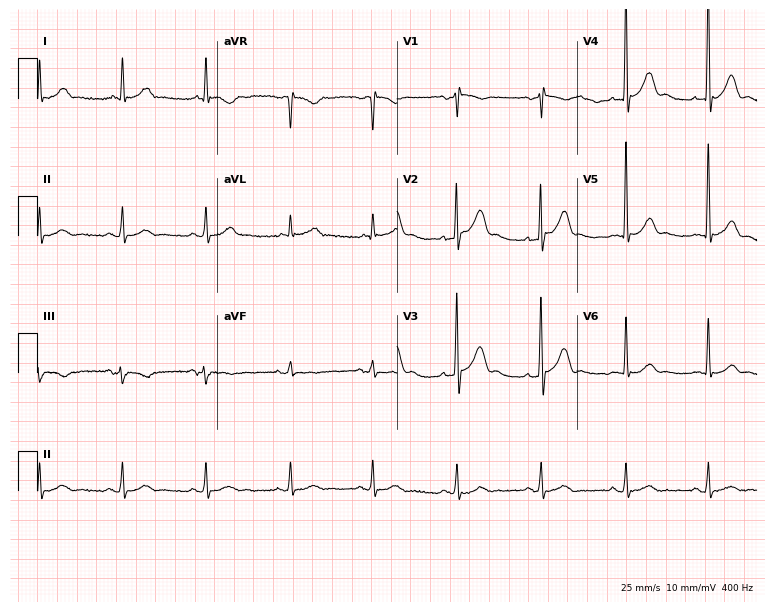
Standard 12-lead ECG recorded from a 64-year-old man. Read as a normal ECG.